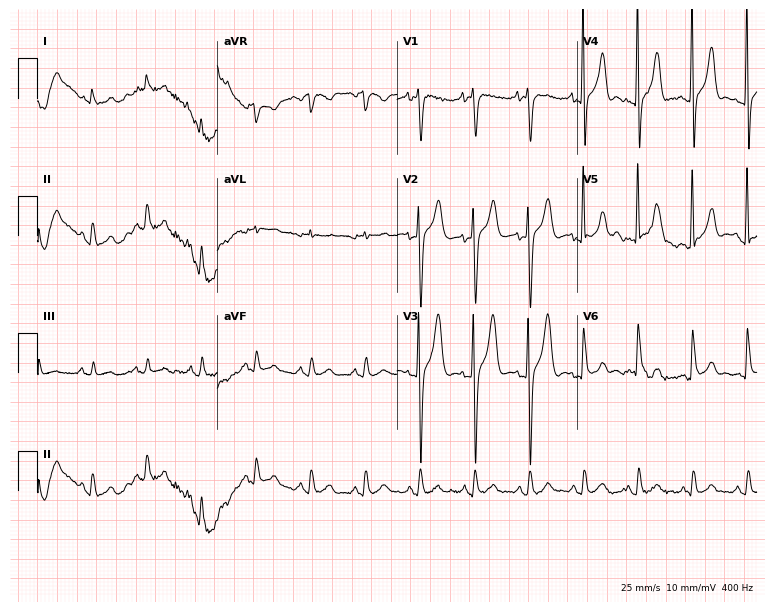
ECG — an 84-year-old man. Screened for six findings — first-degree AV block, right bundle branch block (RBBB), left bundle branch block (LBBB), sinus bradycardia, atrial fibrillation (AF), sinus tachycardia — none is recorded.